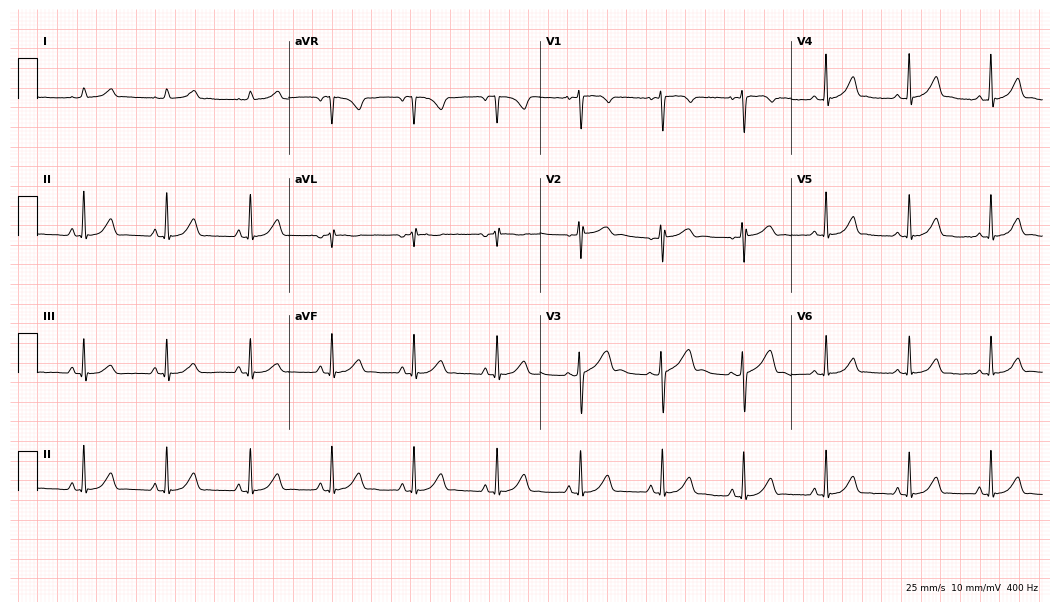
ECG (10.2-second recording at 400 Hz) — a female patient, 17 years old. Labelled as a normal ECG.